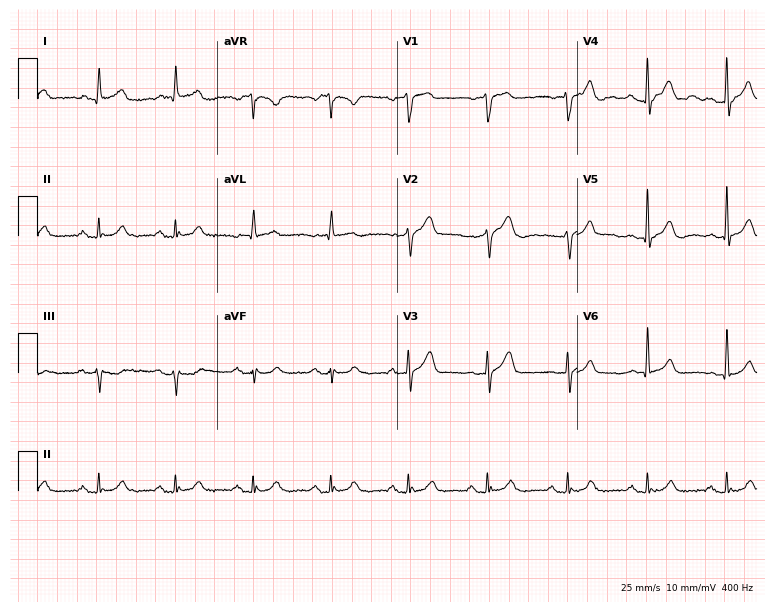
Resting 12-lead electrocardiogram (7.3-second recording at 400 Hz). Patient: a male, 65 years old. None of these six findings is recorded: first-degree AV block, right bundle branch block, left bundle branch block, sinus bradycardia, atrial fibrillation, sinus tachycardia.